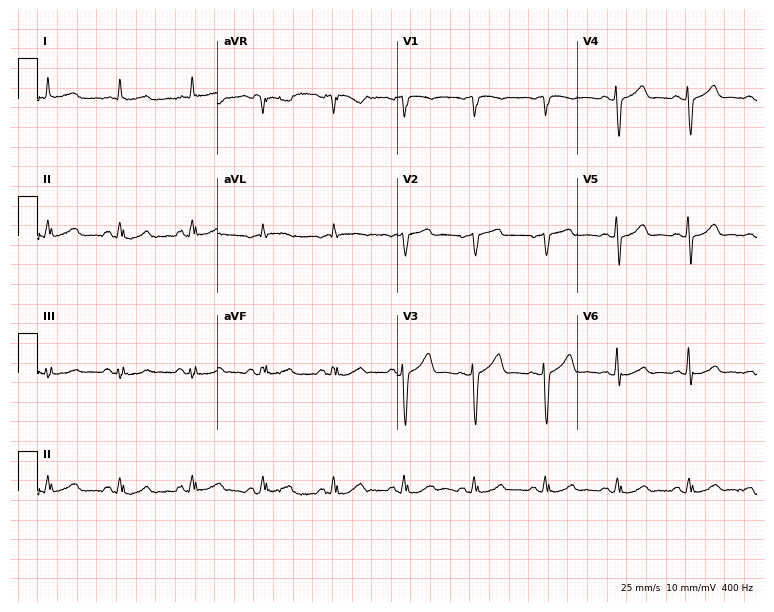
Standard 12-lead ECG recorded from a 76-year-old male. Read as a normal ECG.